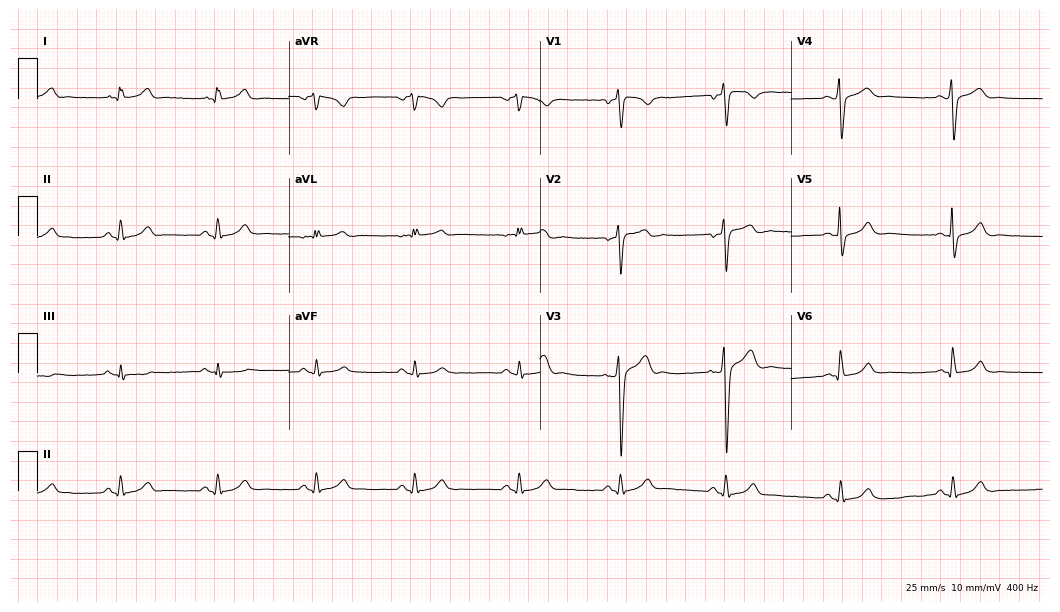
Standard 12-lead ECG recorded from a man, 28 years old (10.2-second recording at 400 Hz). Read as a normal ECG.